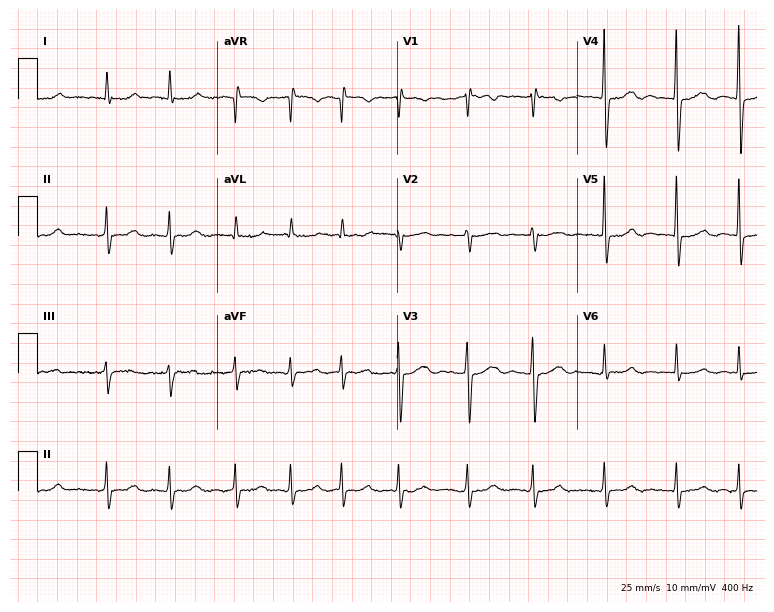
12-lead ECG from a 79-year-old woman. Shows atrial fibrillation.